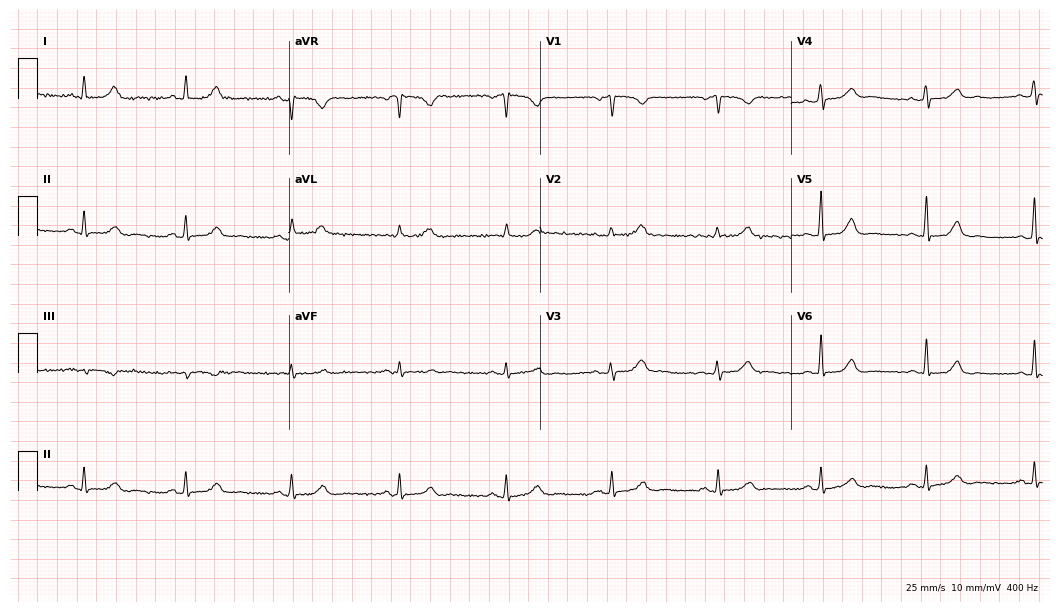
Electrocardiogram (10.2-second recording at 400 Hz), a 56-year-old female patient. Of the six screened findings (first-degree AV block, right bundle branch block, left bundle branch block, sinus bradycardia, atrial fibrillation, sinus tachycardia), none is recorded. Other findings, if any, are not listed.